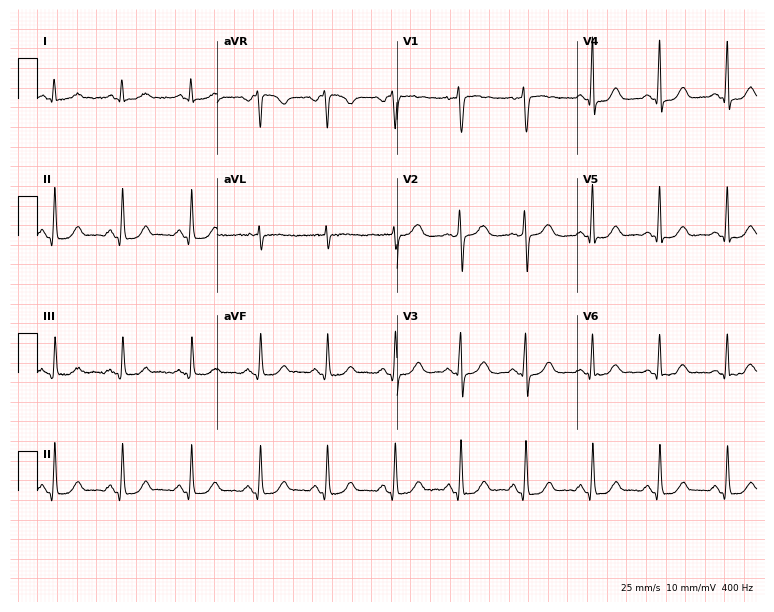
Standard 12-lead ECG recorded from a female patient, 60 years old. Read as a normal ECG.